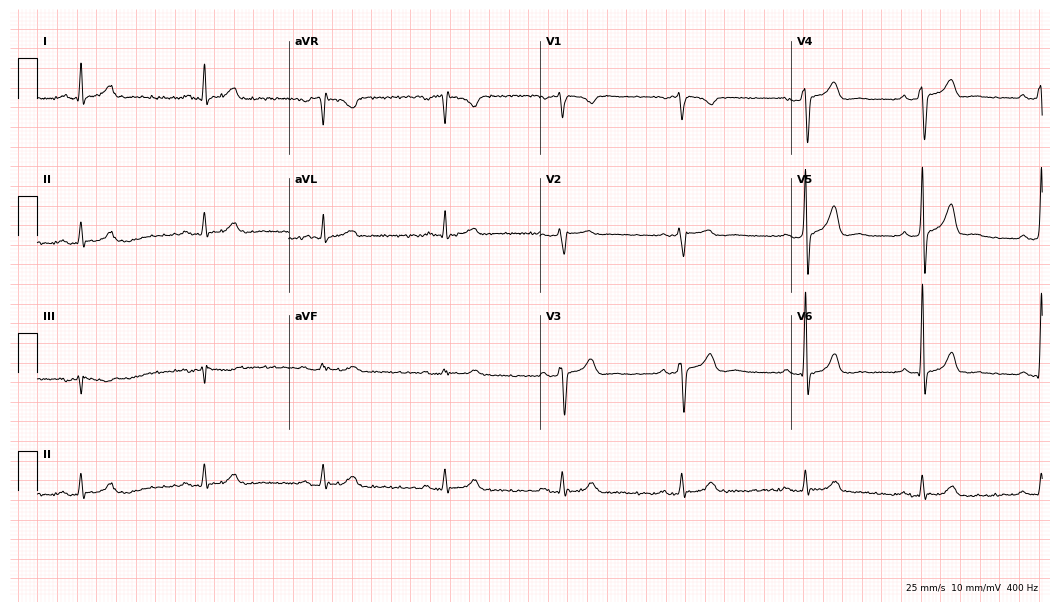
Standard 12-lead ECG recorded from a 56-year-old male. Read as a normal ECG.